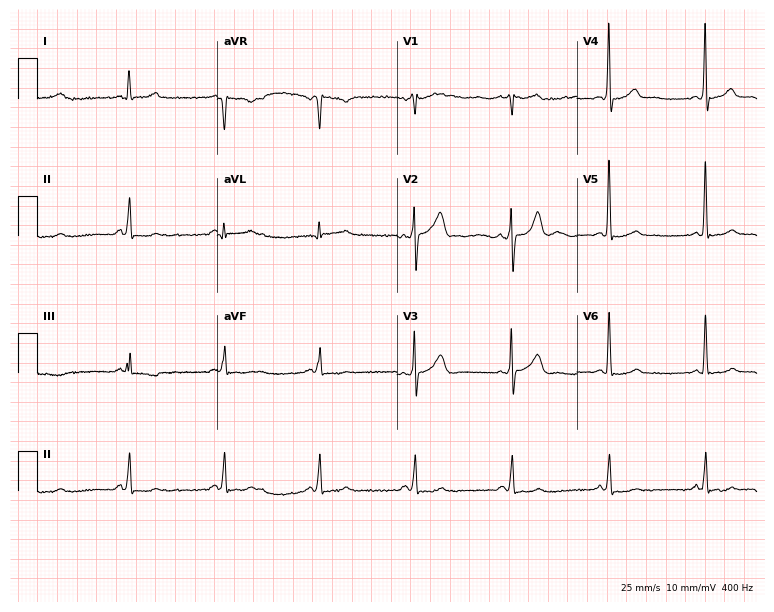
ECG — a 65-year-old male patient. Screened for six findings — first-degree AV block, right bundle branch block, left bundle branch block, sinus bradycardia, atrial fibrillation, sinus tachycardia — none is recorded. Findings outside these six are not listed.